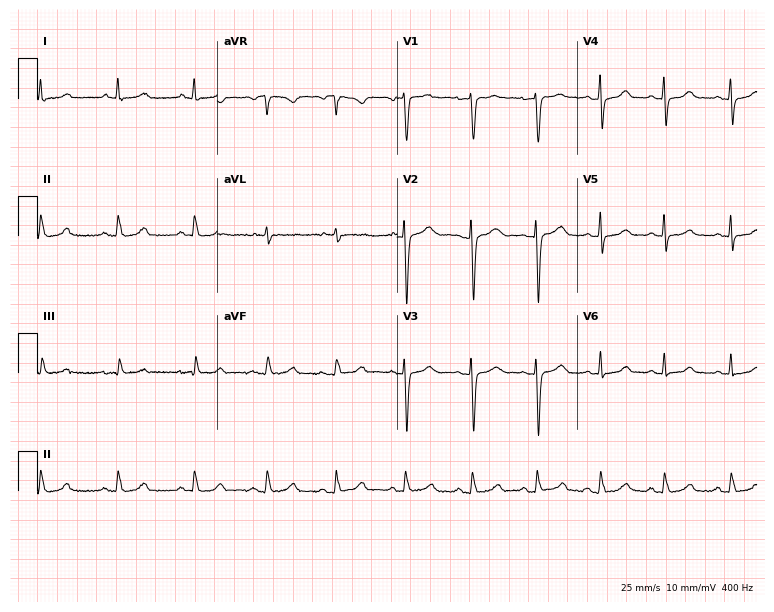
12-lead ECG from a female patient, 41 years old. No first-degree AV block, right bundle branch block, left bundle branch block, sinus bradycardia, atrial fibrillation or sinus tachycardia recorded for this tracing.